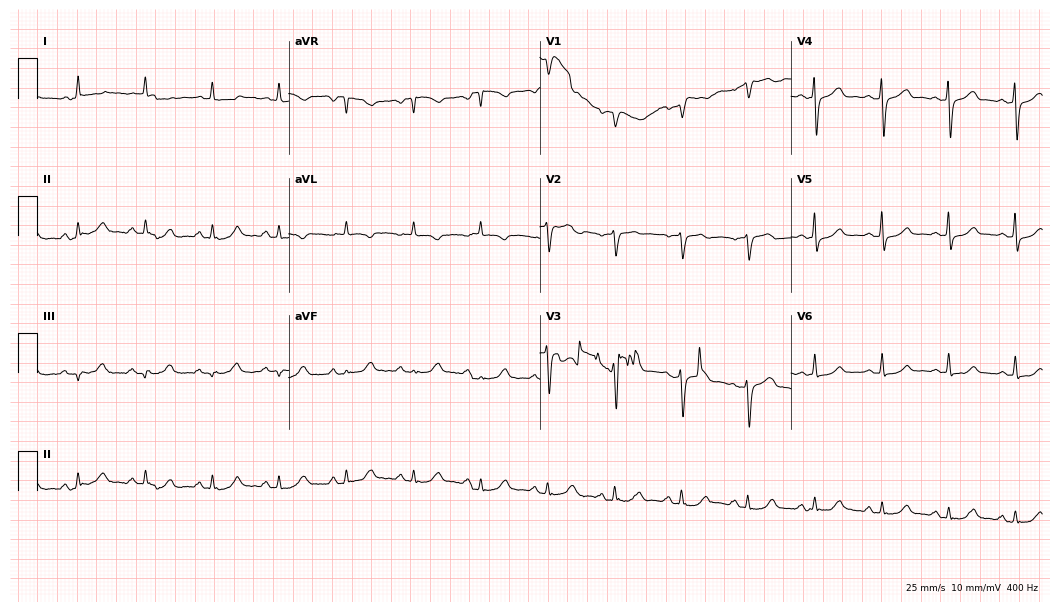
12-lead ECG from a 75-year-old female (10.2-second recording at 400 Hz). No first-degree AV block, right bundle branch block (RBBB), left bundle branch block (LBBB), sinus bradycardia, atrial fibrillation (AF) or sinus tachycardia recorded for this tracing. Findings outside these six are not listed.